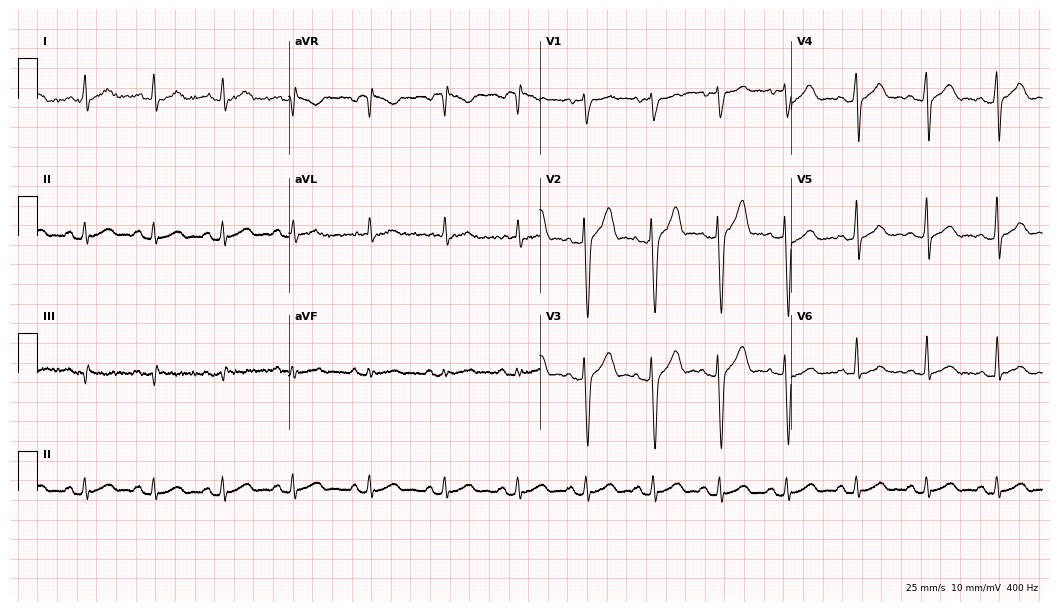
12-lead ECG from a 41-year-old male patient. Recorded interpretation: within normal limits.